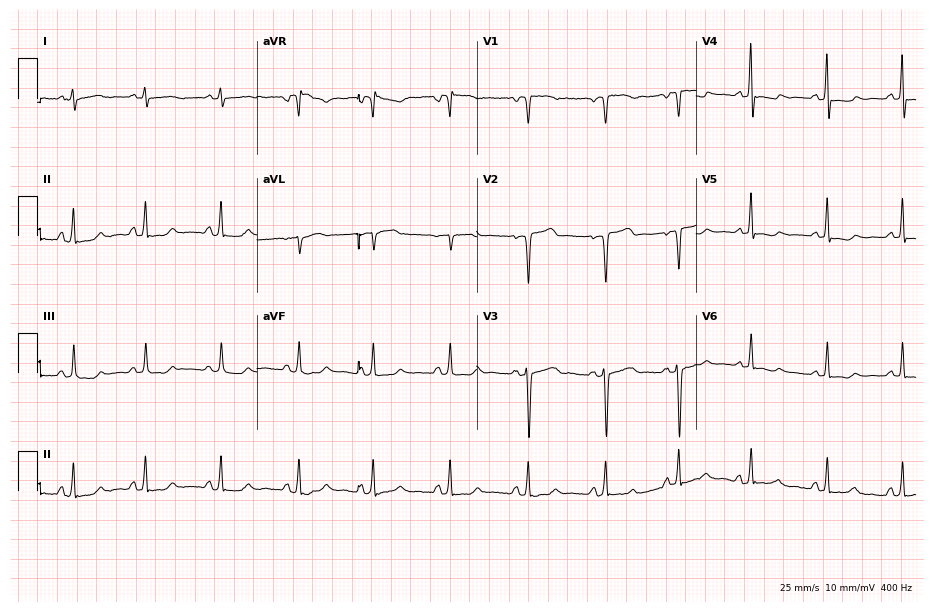
12-lead ECG from a 34-year-old female patient. No first-degree AV block, right bundle branch block (RBBB), left bundle branch block (LBBB), sinus bradycardia, atrial fibrillation (AF) or sinus tachycardia recorded for this tracing.